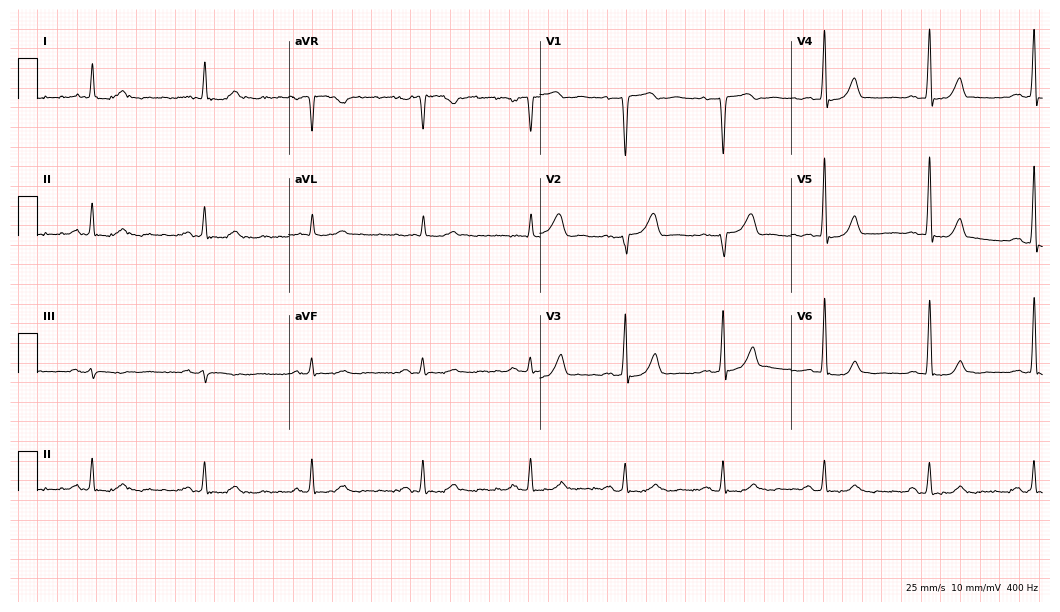
12-lead ECG from a male patient, 70 years old. Recorded interpretation: within normal limits.